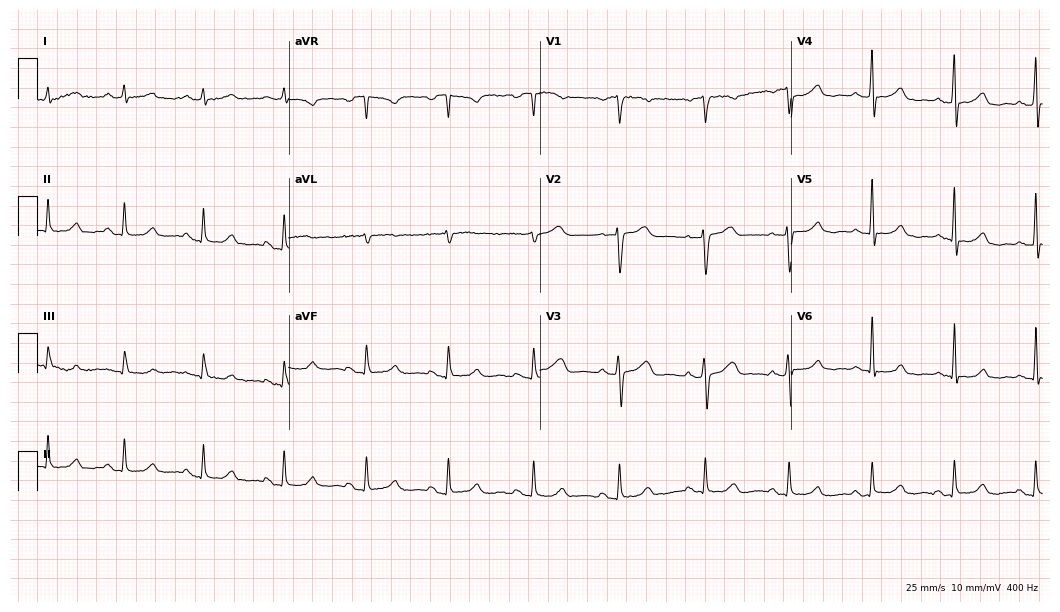
ECG (10.2-second recording at 400 Hz) — a 51-year-old female. Labelled as a normal ECG.